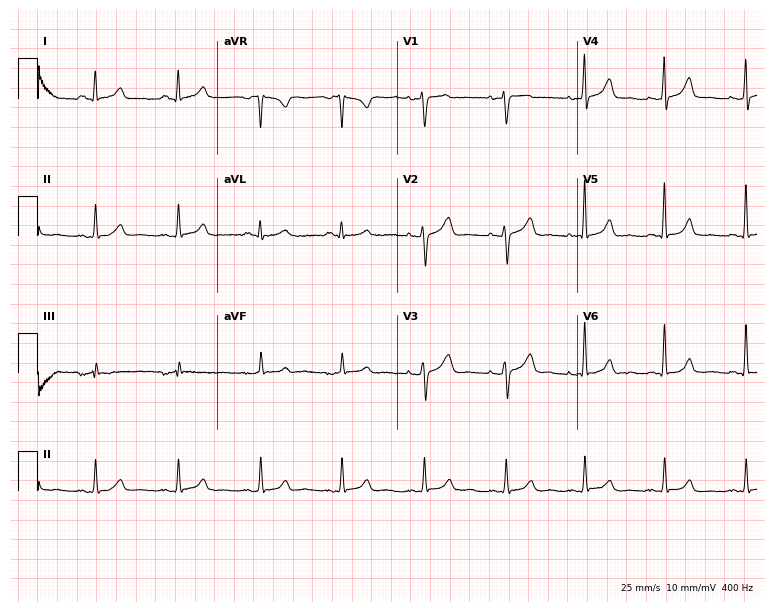
ECG (7.3-second recording at 400 Hz) — a 44-year-old female patient. Screened for six findings — first-degree AV block, right bundle branch block (RBBB), left bundle branch block (LBBB), sinus bradycardia, atrial fibrillation (AF), sinus tachycardia — none is recorded.